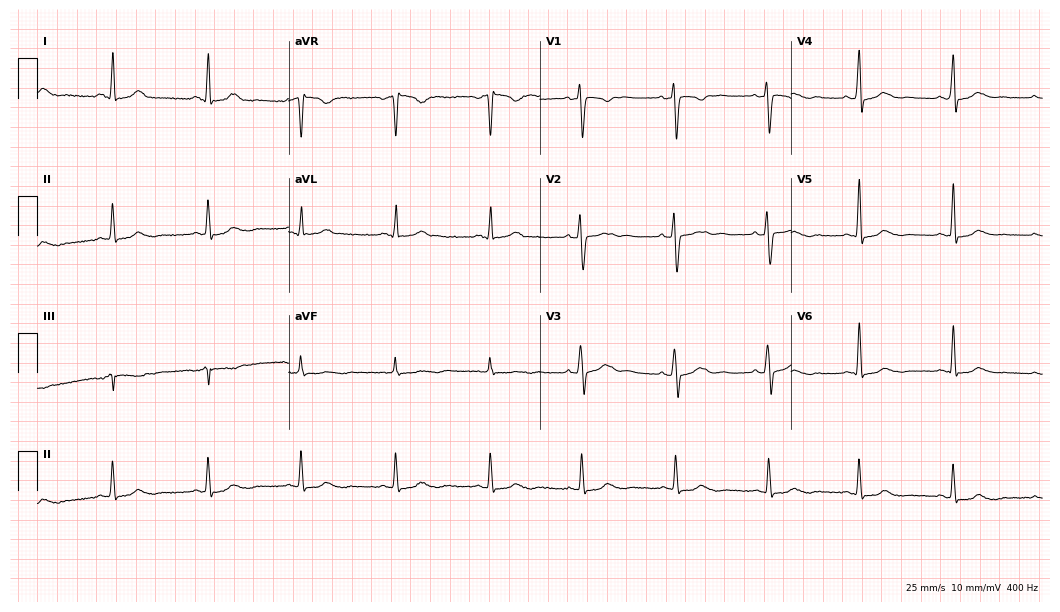
12-lead ECG from a woman, 46 years old (10.2-second recording at 400 Hz). No first-degree AV block, right bundle branch block, left bundle branch block, sinus bradycardia, atrial fibrillation or sinus tachycardia recorded for this tracing.